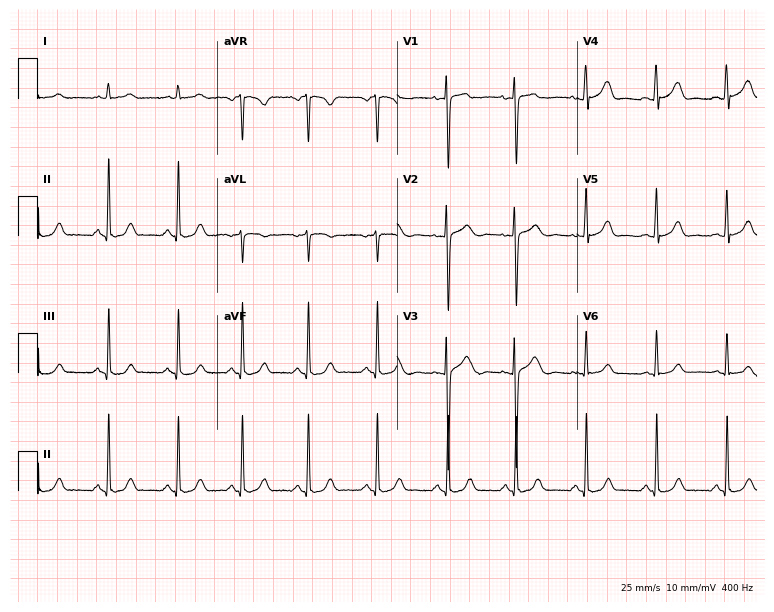
Electrocardiogram, a 33-year-old female patient. Overall reading on record: normal ECG.